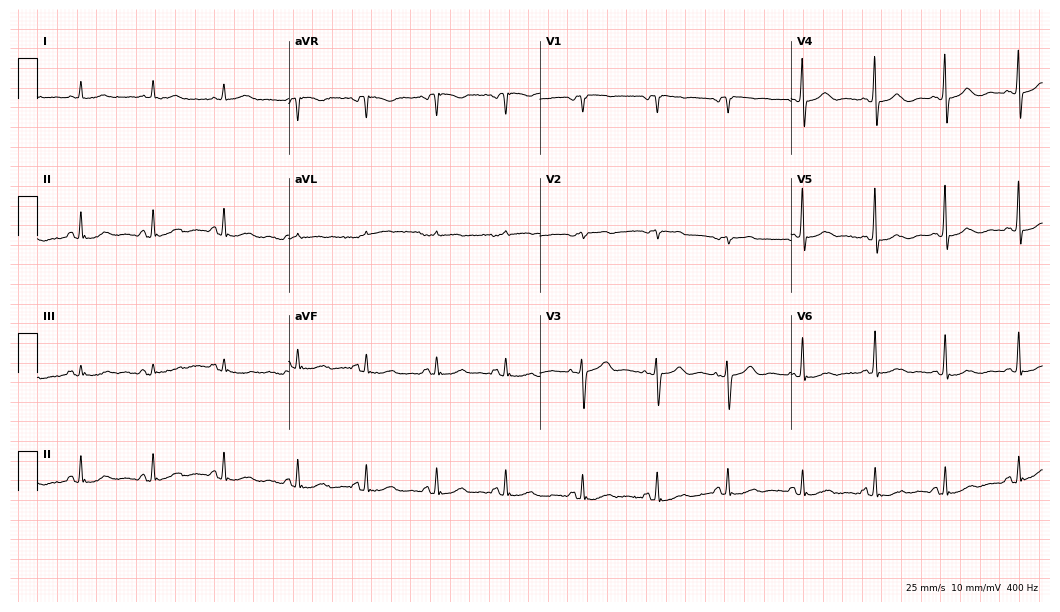
ECG (10.2-second recording at 400 Hz) — a 67-year-old female. Labelled as a normal ECG.